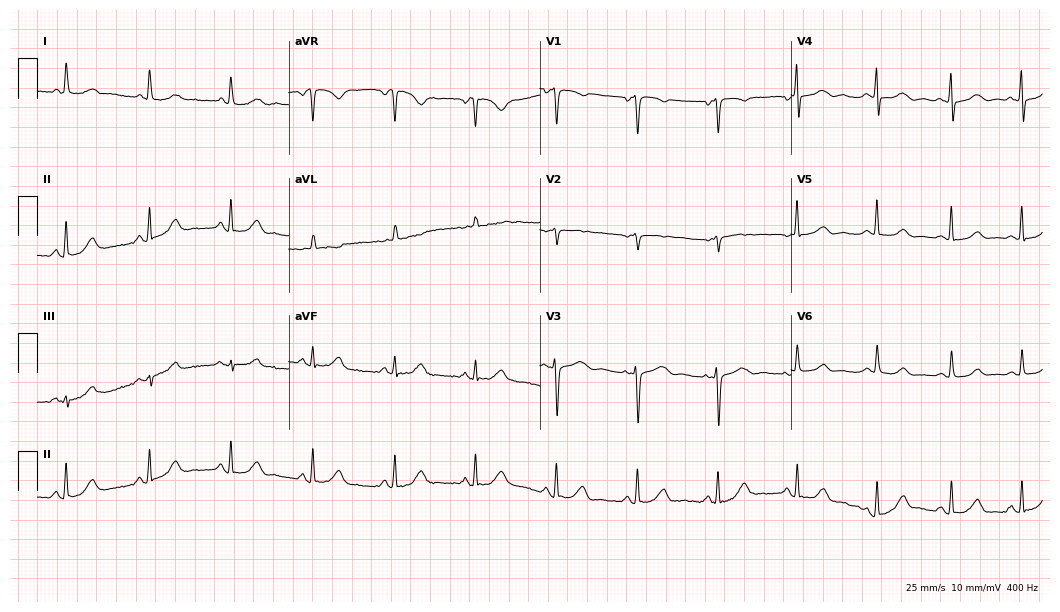
Electrocardiogram, a female, 63 years old. Overall reading on record: normal ECG.